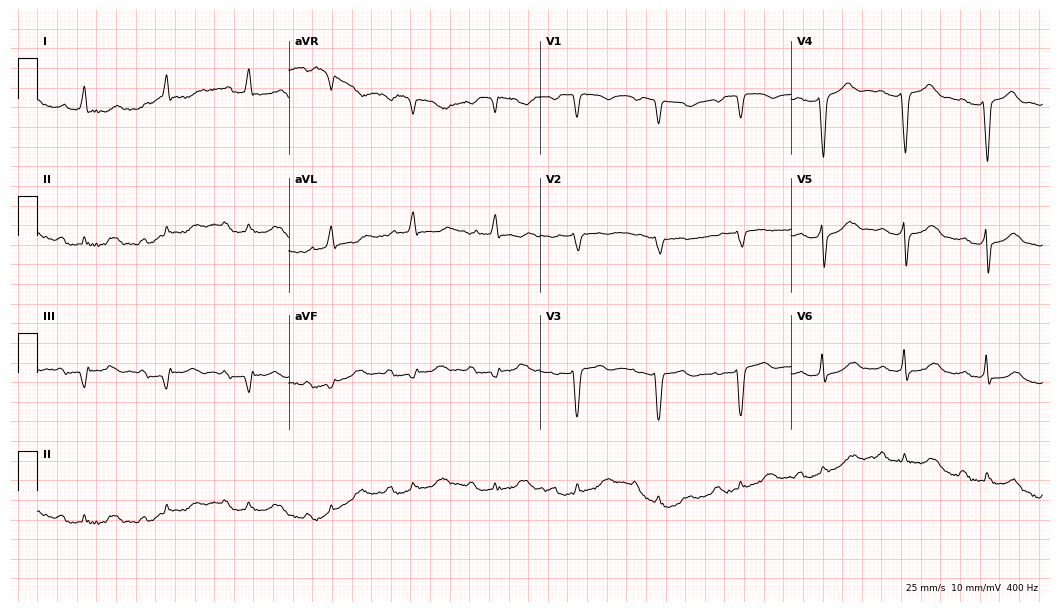
Resting 12-lead electrocardiogram. Patient: a female, 85 years old. The tracing shows first-degree AV block.